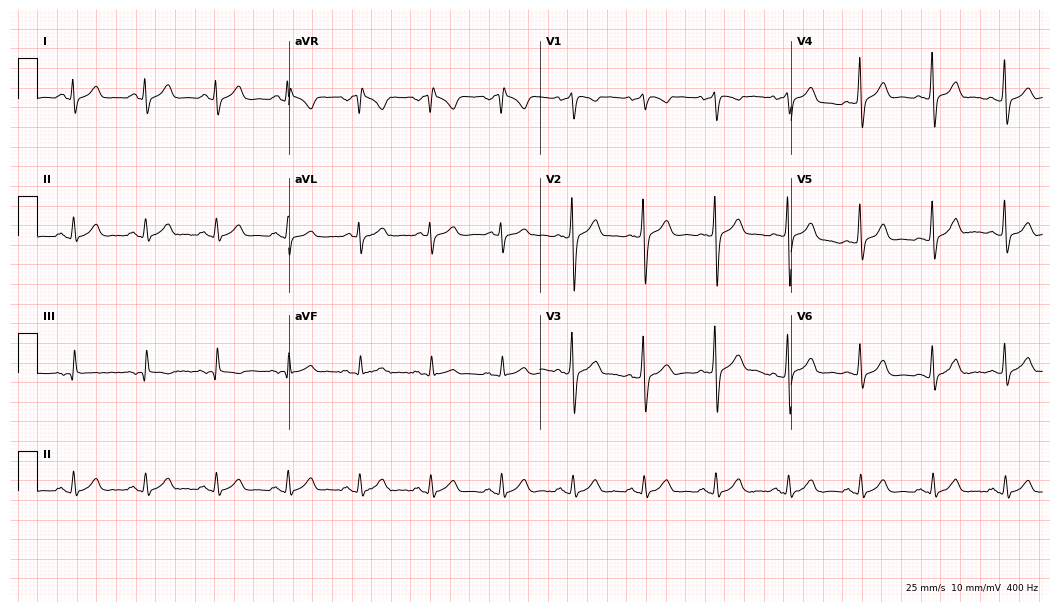
12-lead ECG from a male patient, 41 years old. Labelled as a normal ECG.